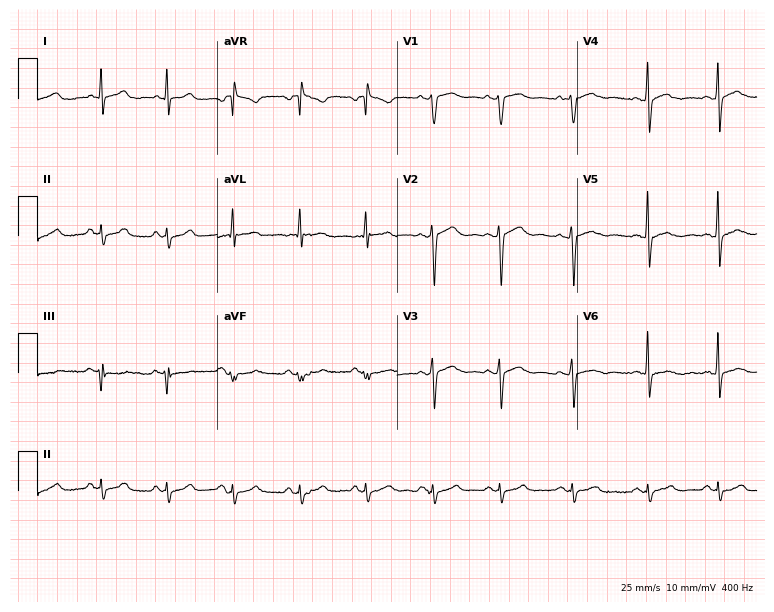
12-lead ECG from a 43-year-old man (7.3-second recording at 400 Hz). No first-degree AV block, right bundle branch block (RBBB), left bundle branch block (LBBB), sinus bradycardia, atrial fibrillation (AF) or sinus tachycardia recorded for this tracing. Findings outside these six are not listed.